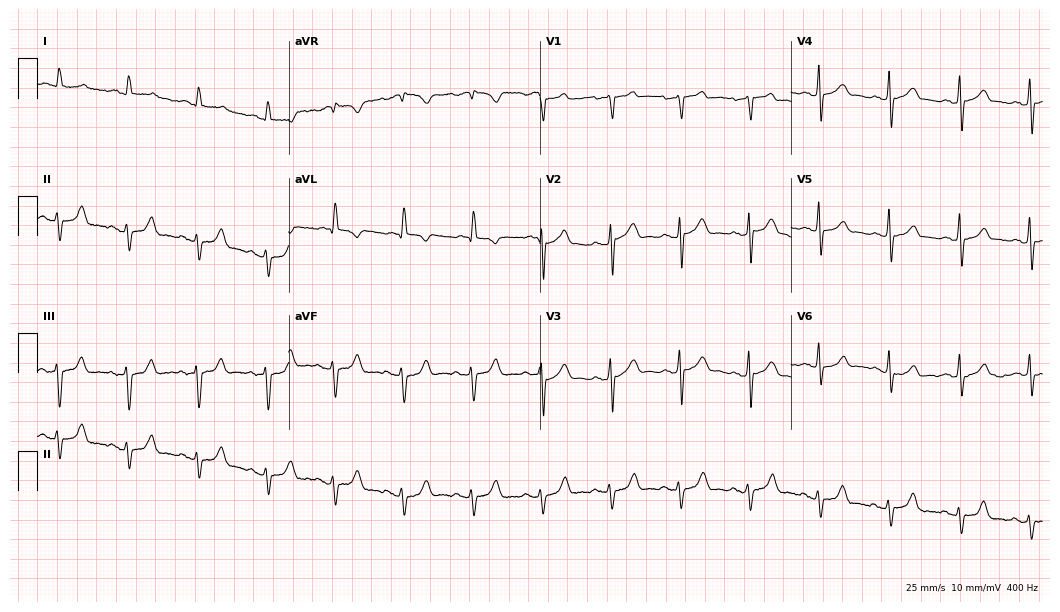
12-lead ECG (10.2-second recording at 400 Hz) from a 77-year-old male. Screened for six findings — first-degree AV block, right bundle branch block, left bundle branch block, sinus bradycardia, atrial fibrillation, sinus tachycardia — none is recorded. Only these six findings were labelled.